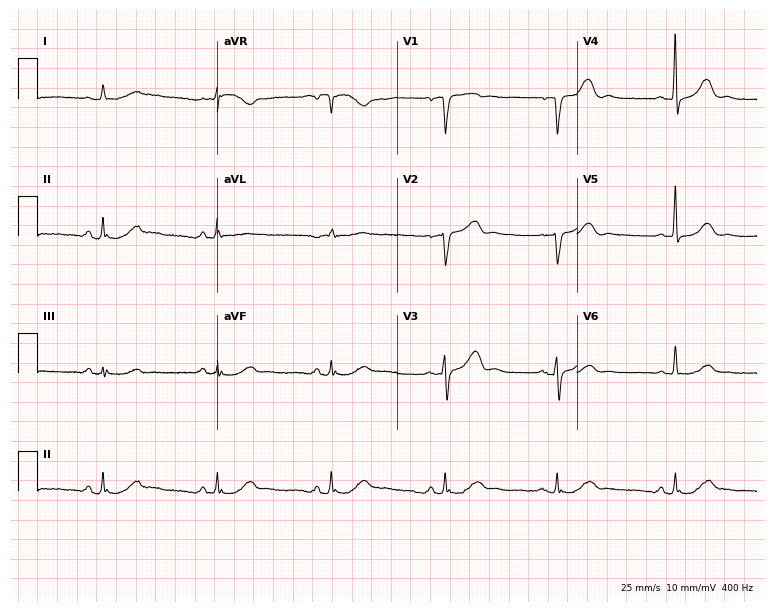
ECG — a male patient, 75 years old. Screened for six findings — first-degree AV block, right bundle branch block, left bundle branch block, sinus bradycardia, atrial fibrillation, sinus tachycardia — none is recorded.